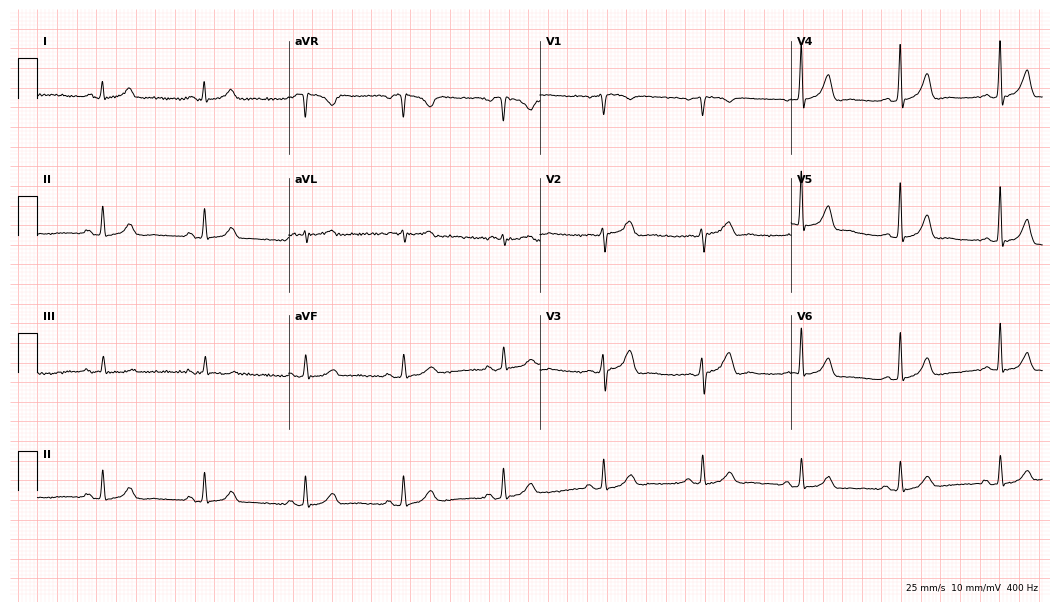
ECG (10.2-second recording at 400 Hz) — a 44-year-old male patient. Labelled as a normal ECG.